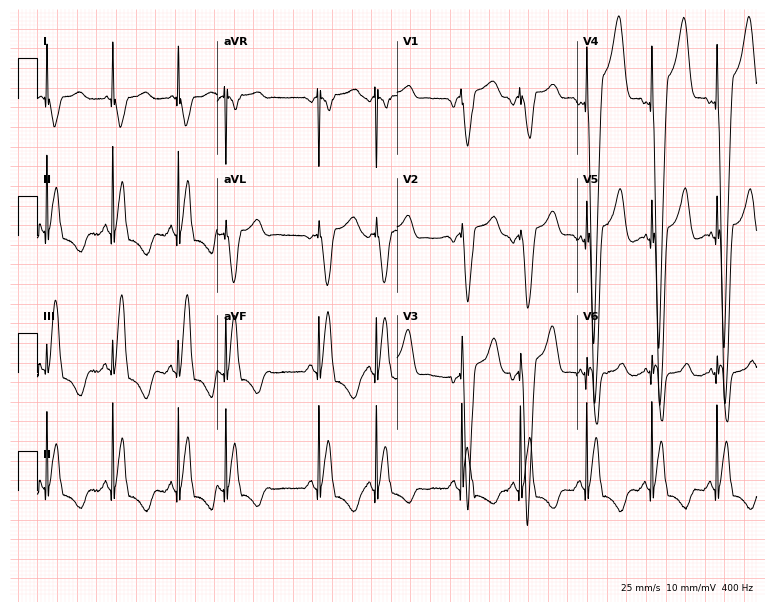
Resting 12-lead electrocardiogram. Patient: a male, 82 years old. None of these six findings is recorded: first-degree AV block, right bundle branch block, left bundle branch block, sinus bradycardia, atrial fibrillation, sinus tachycardia. Only these six findings were labelled.